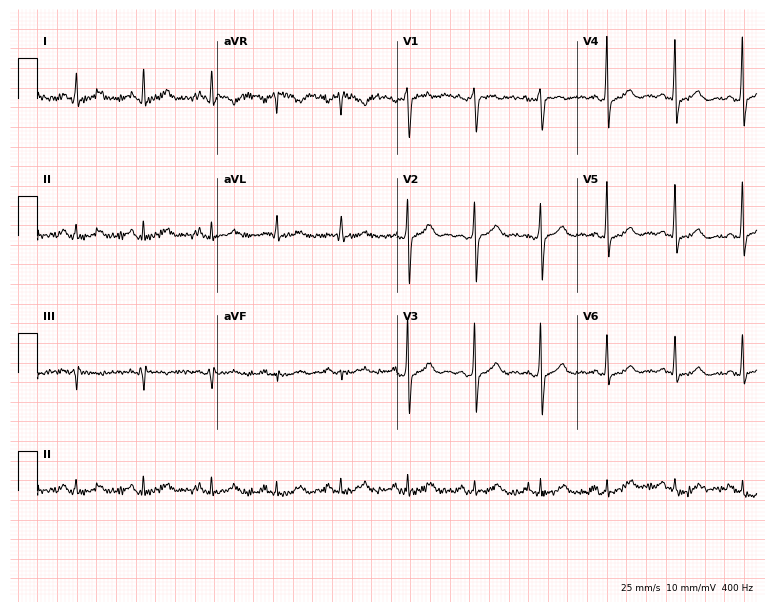
12-lead ECG (7.3-second recording at 400 Hz) from a female, 48 years old. Labelled as a normal ECG.